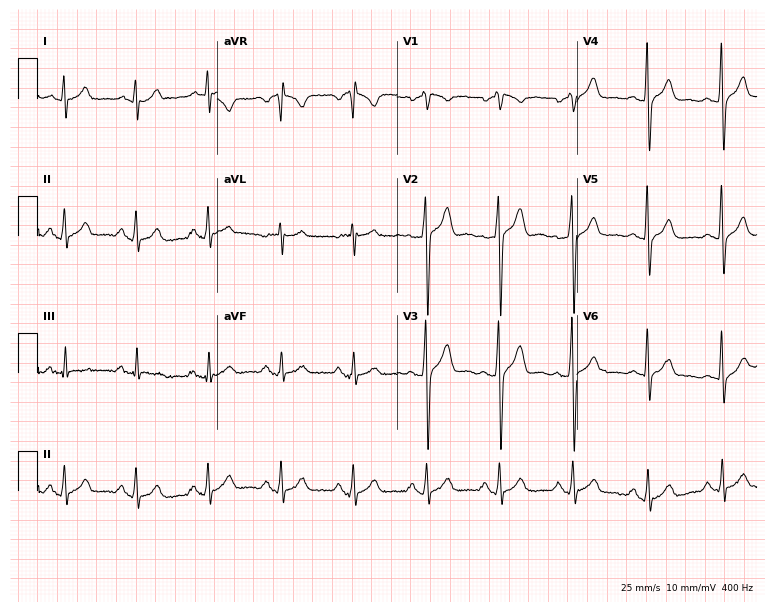
Standard 12-lead ECG recorded from a male, 29 years old. None of these six findings is recorded: first-degree AV block, right bundle branch block, left bundle branch block, sinus bradycardia, atrial fibrillation, sinus tachycardia. Other findings, if any, are not listed.